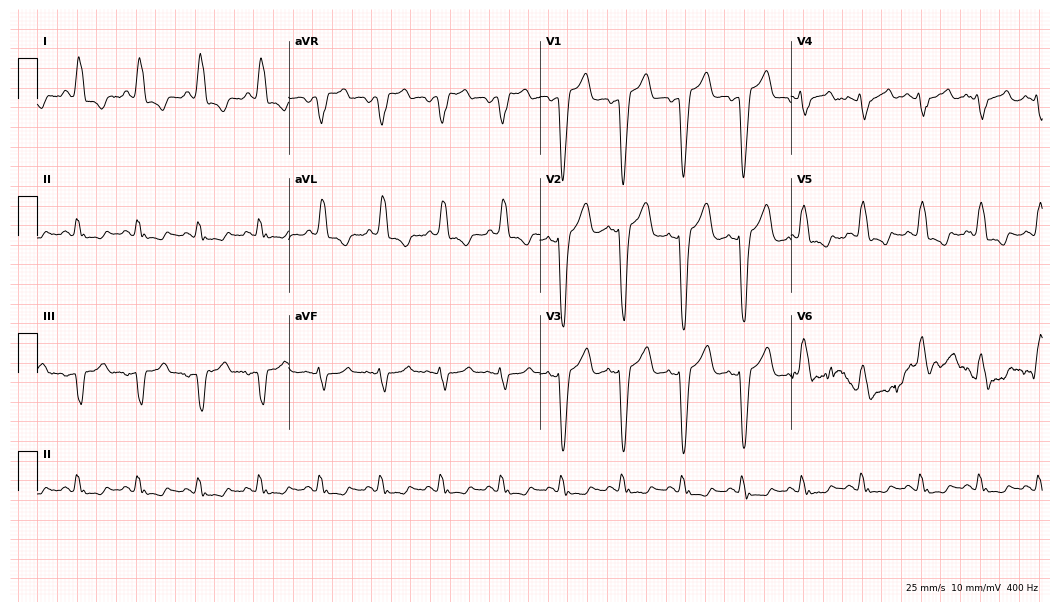
ECG — a man, 65 years old. Findings include left bundle branch block (LBBB).